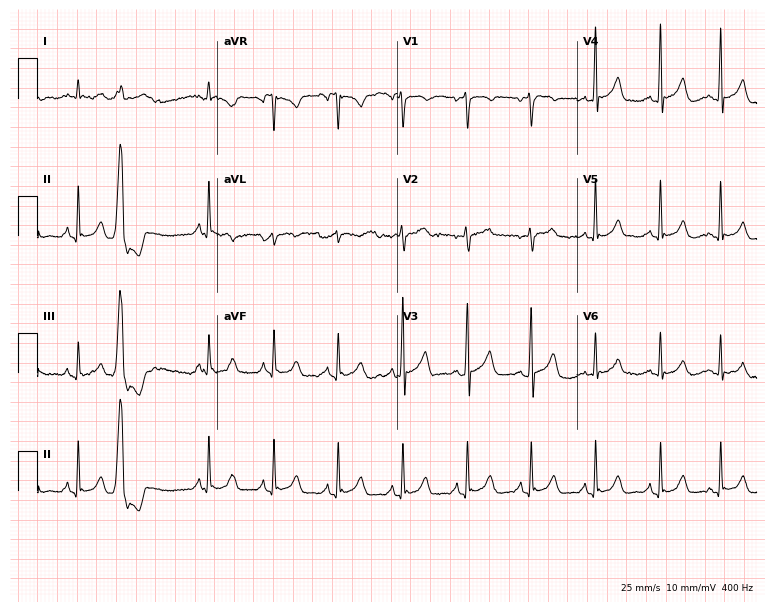
Standard 12-lead ECG recorded from a 67-year-old male patient (7.3-second recording at 400 Hz). None of these six findings is recorded: first-degree AV block, right bundle branch block (RBBB), left bundle branch block (LBBB), sinus bradycardia, atrial fibrillation (AF), sinus tachycardia. Only these six findings were labelled.